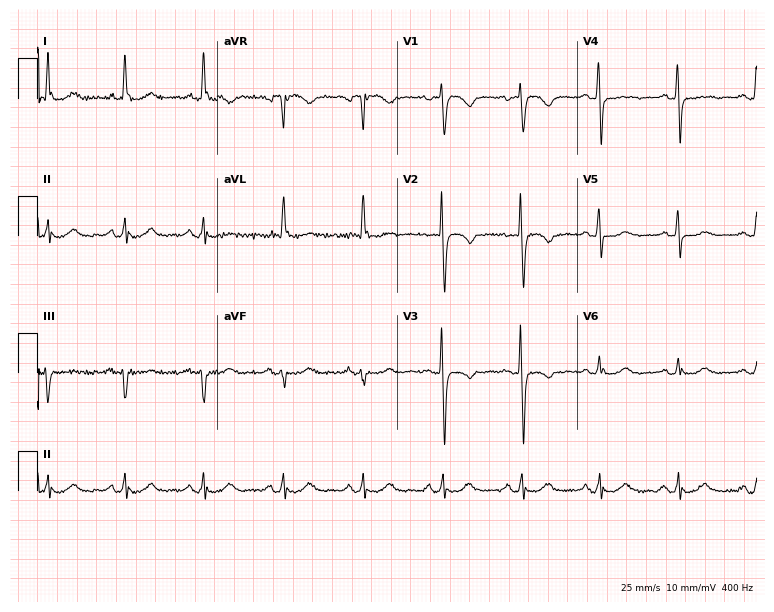
Resting 12-lead electrocardiogram. Patient: a 64-year-old female. None of these six findings is recorded: first-degree AV block, right bundle branch block, left bundle branch block, sinus bradycardia, atrial fibrillation, sinus tachycardia.